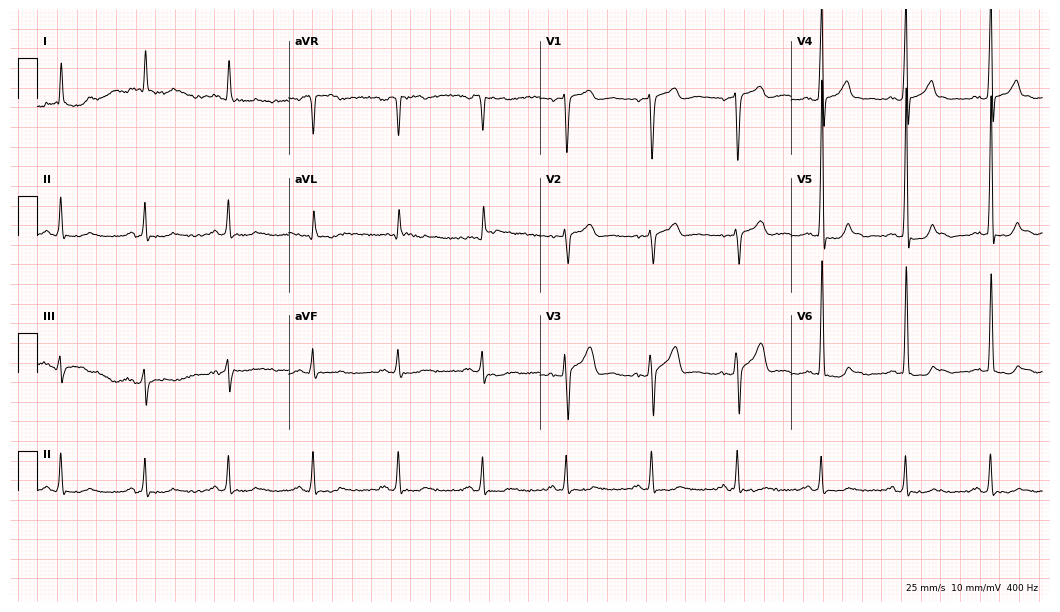
12-lead ECG from a male patient, 66 years old. Screened for six findings — first-degree AV block, right bundle branch block, left bundle branch block, sinus bradycardia, atrial fibrillation, sinus tachycardia — none is recorded.